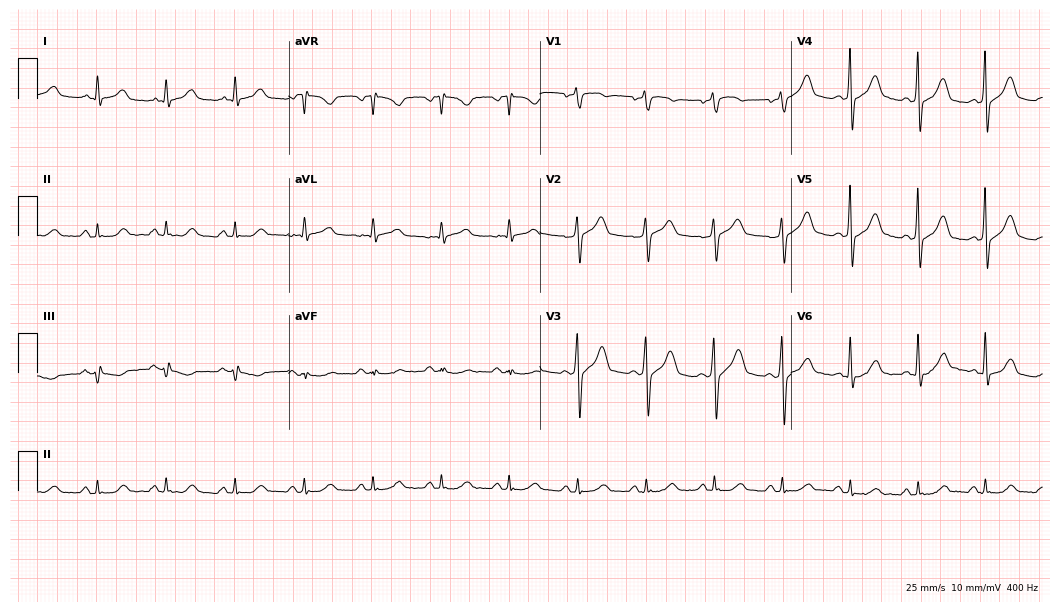
12-lead ECG from a 51-year-old male. Recorded interpretation: within normal limits.